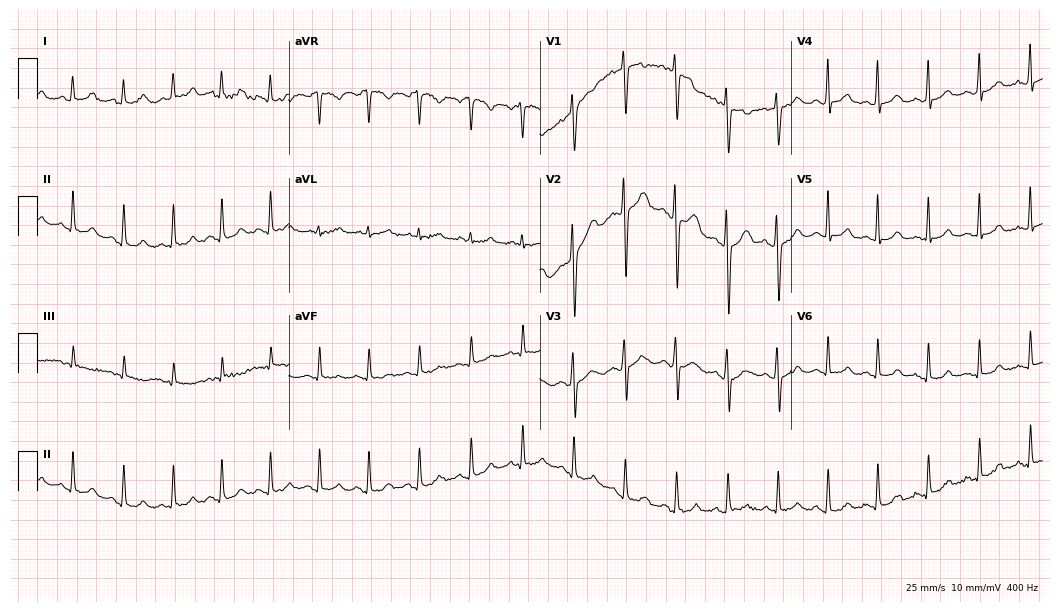
12-lead ECG (10.2-second recording at 400 Hz) from a woman, 17 years old. Findings include sinus tachycardia (a sinus rate of 100 beats per minute or more).